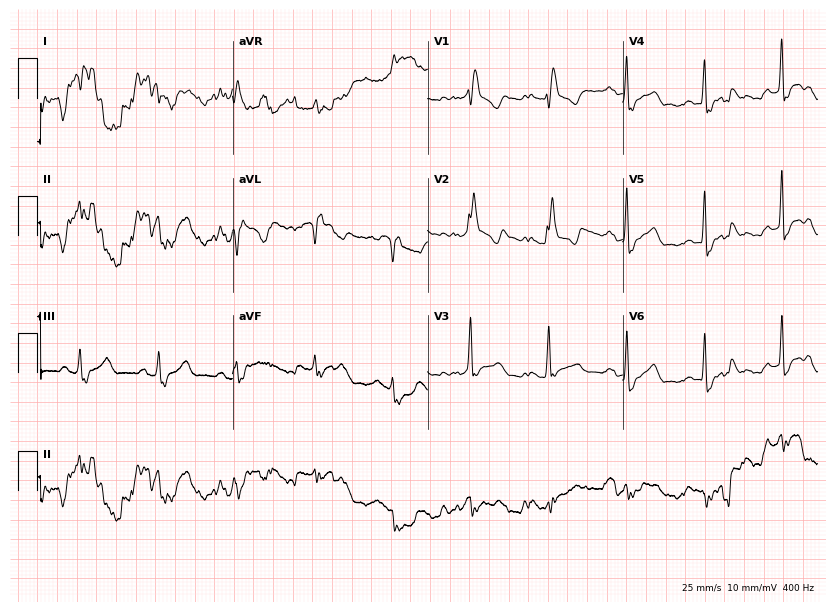
12-lead ECG (8-second recording at 400 Hz) from a male patient, 47 years old. Screened for six findings — first-degree AV block, right bundle branch block, left bundle branch block, sinus bradycardia, atrial fibrillation, sinus tachycardia — none is recorded. Findings outside these six are not listed.